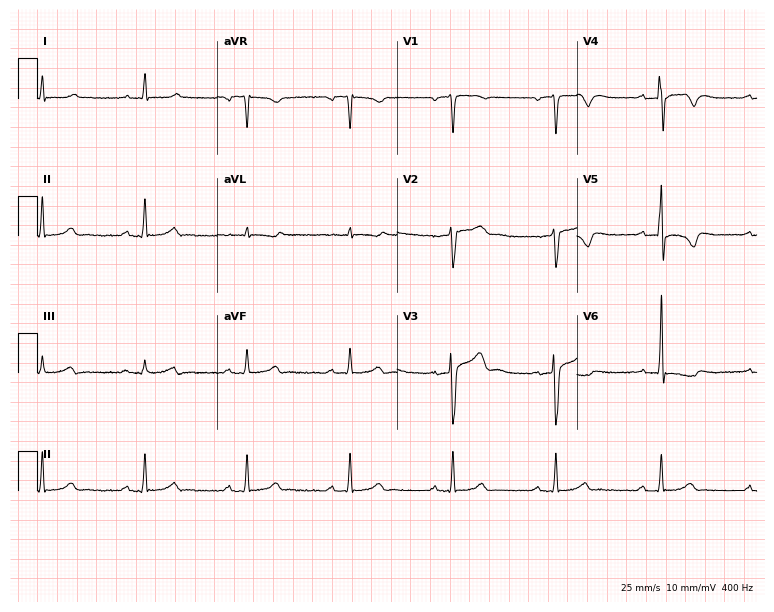
Electrocardiogram (7.3-second recording at 400 Hz), a male patient, 44 years old. Overall reading on record: normal ECG.